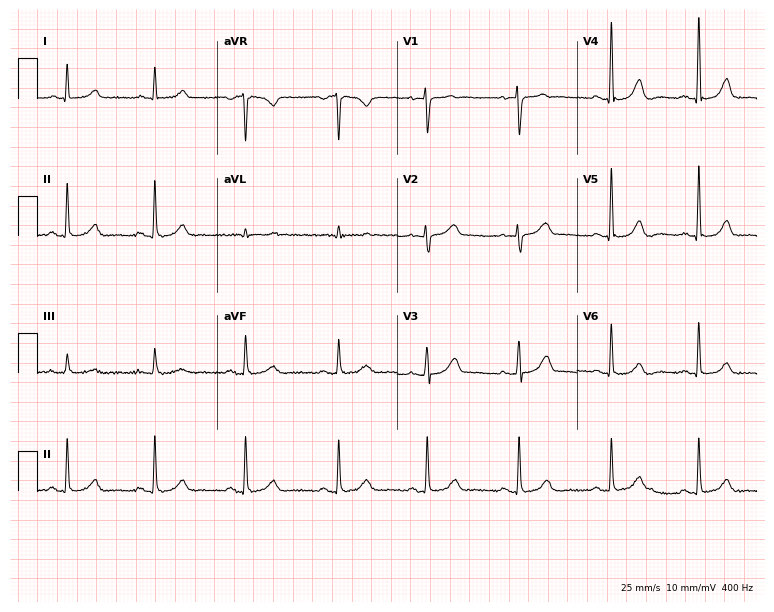
12-lead ECG from a woman, 58 years old. No first-degree AV block, right bundle branch block, left bundle branch block, sinus bradycardia, atrial fibrillation or sinus tachycardia recorded for this tracing.